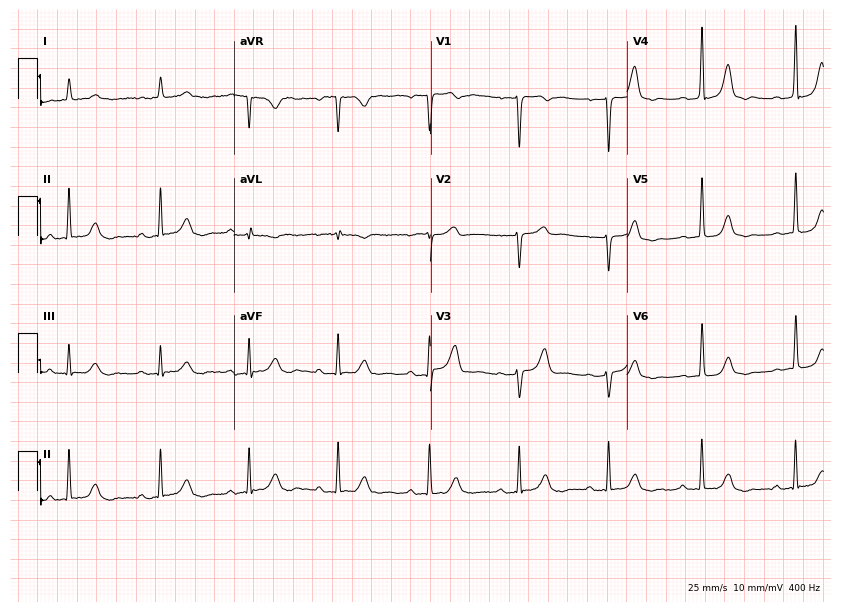
Resting 12-lead electrocardiogram (8-second recording at 400 Hz). Patient: a 79-year-old female. None of these six findings is recorded: first-degree AV block, right bundle branch block (RBBB), left bundle branch block (LBBB), sinus bradycardia, atrial fibrillation (AF), sinus tachycardia.